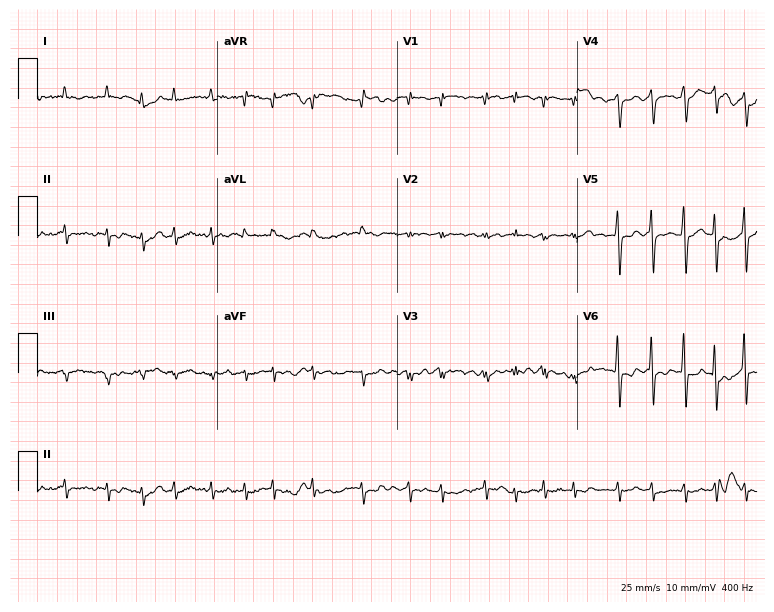
ECG — a male, 80 years old. Findings include atrial fibrillation.